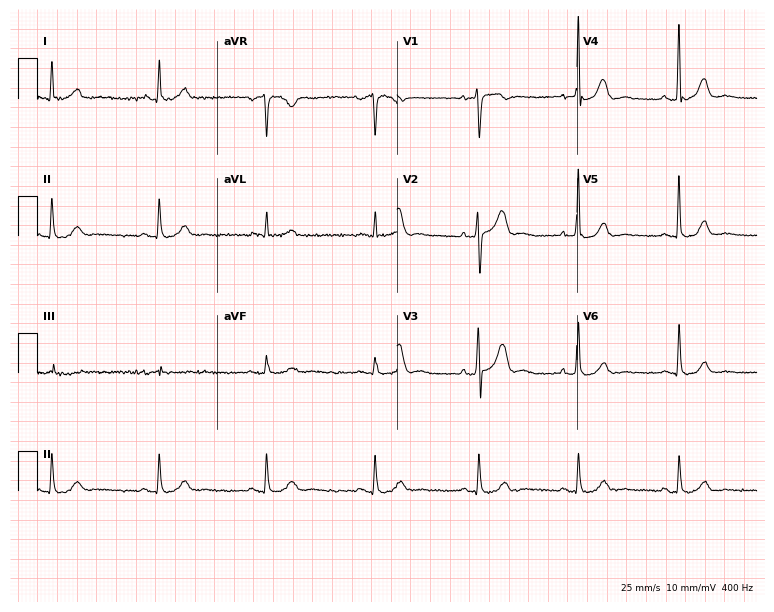
12-lead ECG from a 64-year-old male patient. No first-degree AV block, right bundle branch block, left bundle branch block, sinus bradycardia, atrial fibrillation or sinus tachycardia recorded for this tracing.